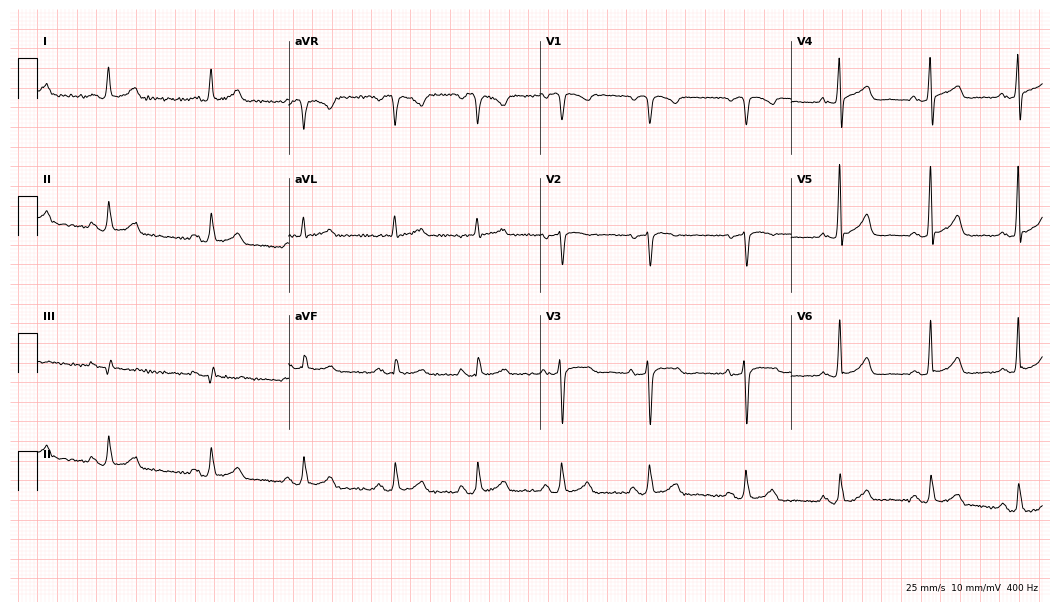
ECG — a woman, 66 years old. Labelled as a normal ECG.